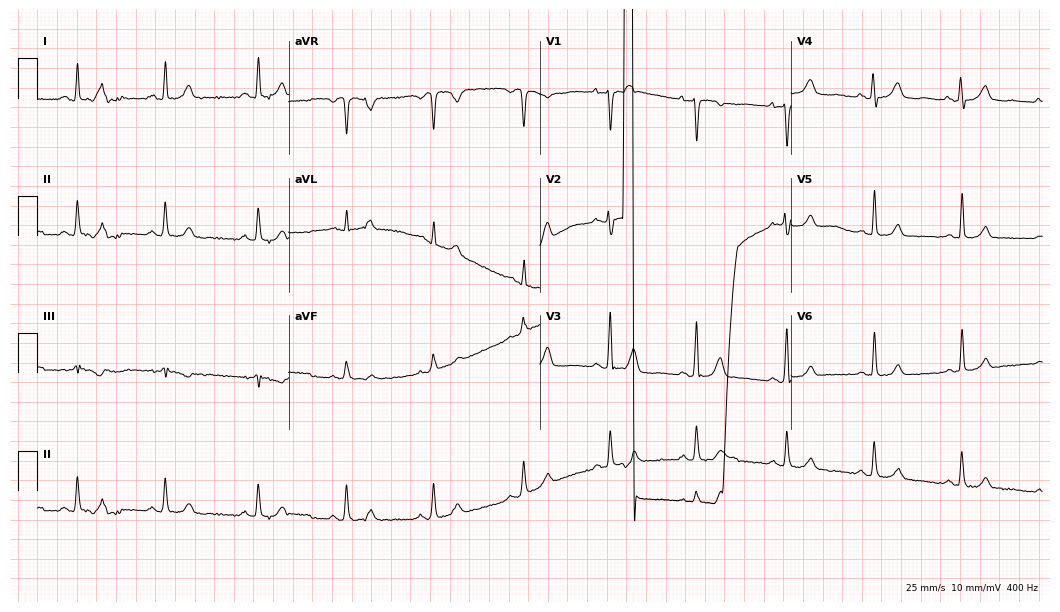
Resting 12-lead electrocardiogram. Patient: a 54-year-old woman. None of these six findings is recorded: first-degree AV block, right bundle branch block, left bundle branch block, sinus bradycardia, atrial fibrillation, sinus tachycardia. Only these six findings were labelled.